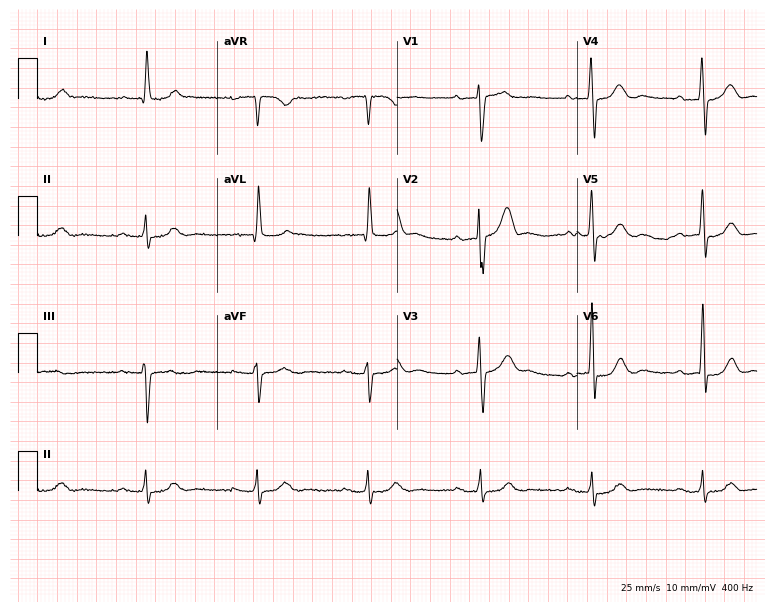
12-lead ECG (7.3-second recording at 400 Hz) from a male, 73 years old. Screened for six findings — first-degree AV block, right bundle branch block, left bundle branch block, sinus bradycardia, atrial fibrillation, sinus tachycardia — none is recorded. Other findings, if any, are not listed.